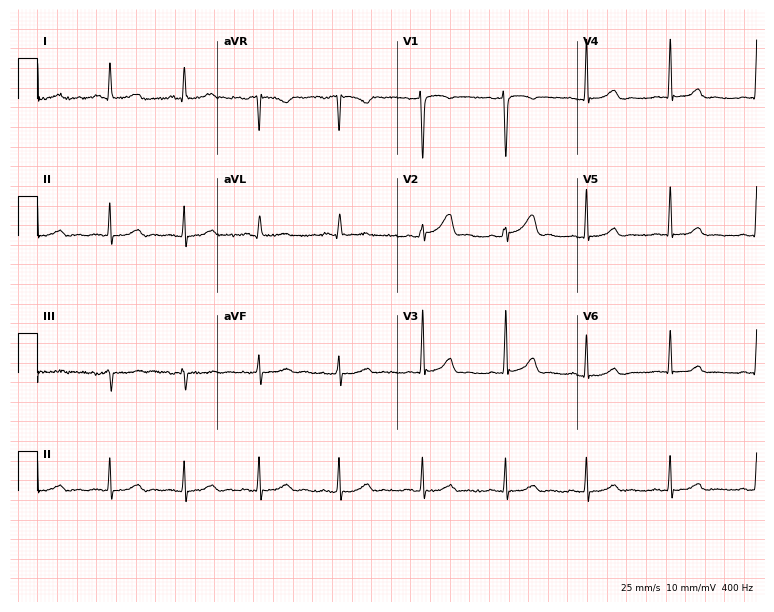
Electrocardiogram (7.3-second recording at 400 Hz), a female, 35 years old. Overall reading on record: normal ECG.